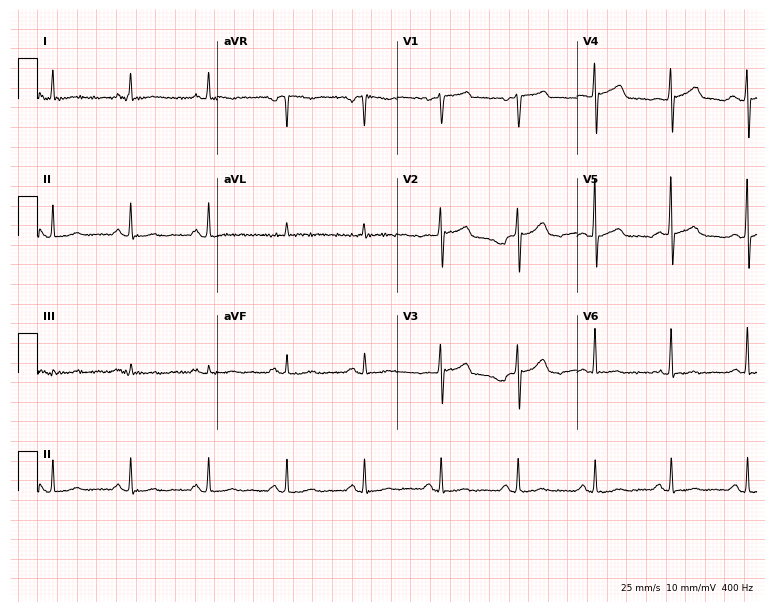
12-lead ECG from a 65-year-old man (7.3-second recording at 400 Hz). No first-degree AV block, right bundle branch block, left bundle branch block, sinus bradycardia, atrial fibrillation or sinus tachycardia recorded for this tracing.